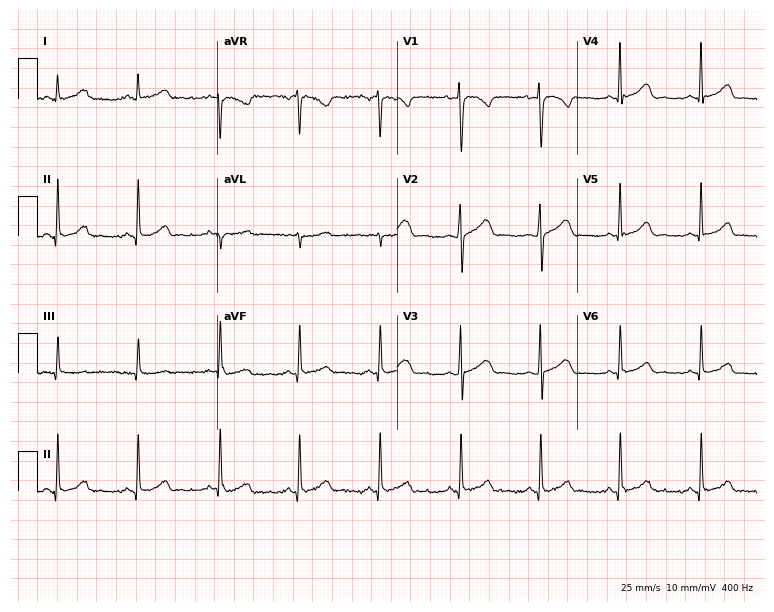
ECG (7.3-second recording at 400 Hz) — a 31-year-old female. Labelled as a normal ECG.